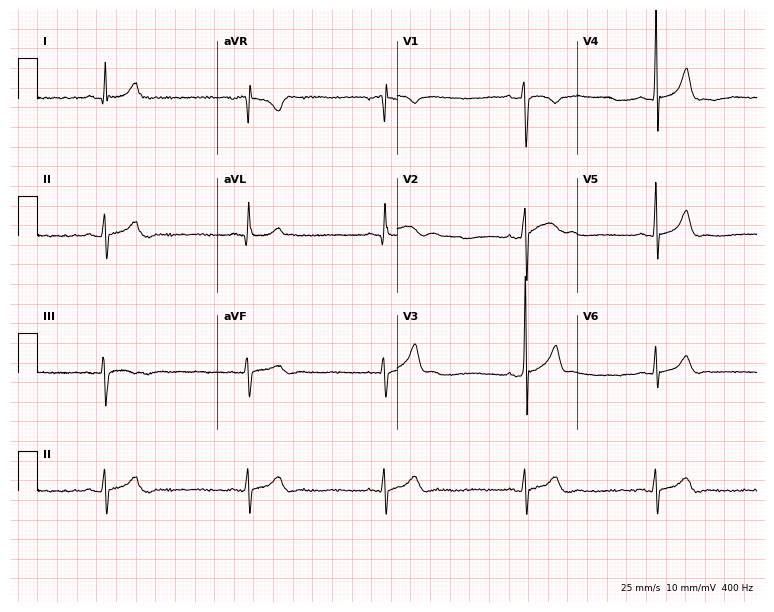
12-lead ECG (7.3-second recording at 400 Hz) from a male, 38 years old. Screened for six findings — first-degree AV block, right bundle branch block, left bundle branch block, sinus bradycardia, atrial fibrillation, sinus tachycardia — none is recorded. Other findings, if any, are not listed.